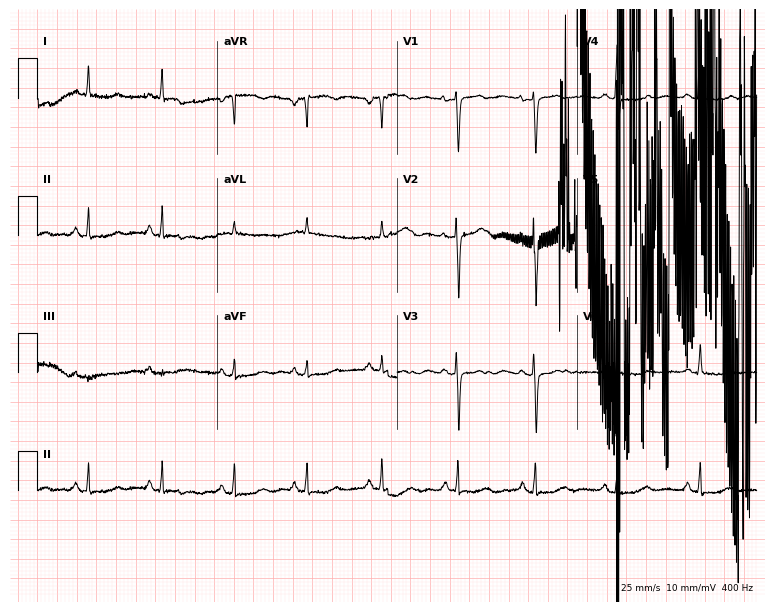
Resting 12-lead electrocardiogram (7.3-second recording at 400 Hz). Patient: a woman, 81 years old. None of these six findings is recorded: first-degree AV block, right bundle branch block, left bundle branch block, sinus bradycardia, atrial fibrillation, sinus tachycardia. Findings outside these six are not listed.